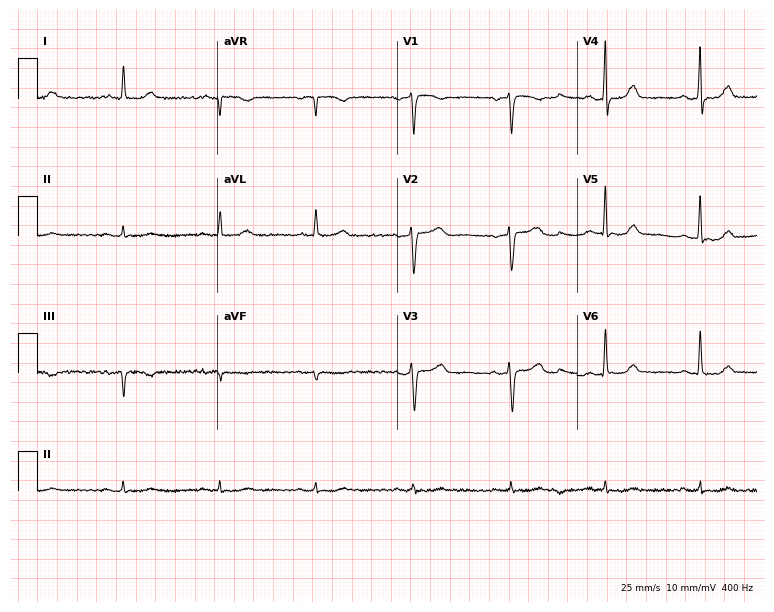
12-lead ECG from a woman, 60 years old. No first-degree AV block, right bundle branch block, left bundle branch block, sinus bradycardia, atrial fibrillation or sinus tachycardia recorded for this tracing.